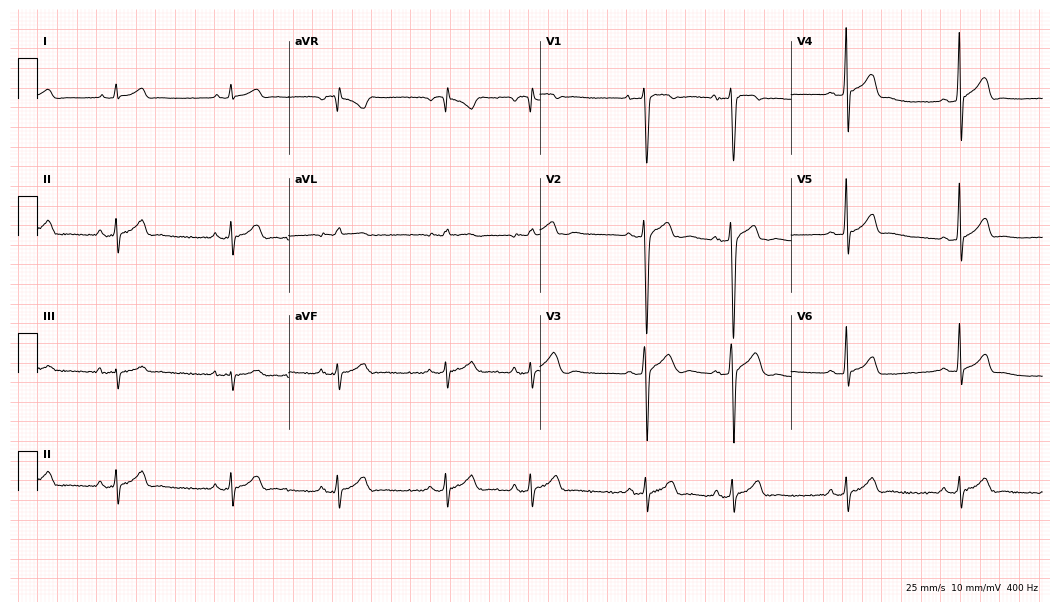
ECG — a male patient, 18 years old. Labelled as a normal ECG.